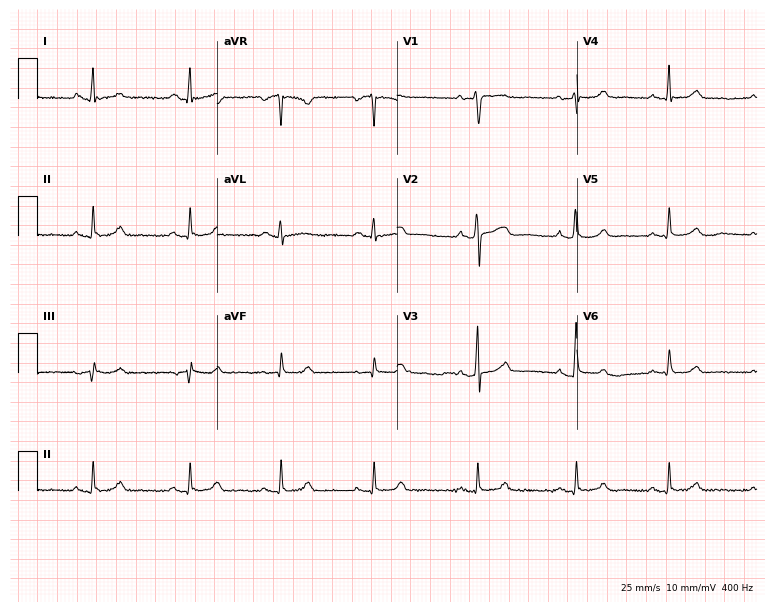
ECG (7.3-second recording at 400 Hz) — a 54-year-old woman. Screened for six findings — first-degree AV block, right bundle branch block, left bundle branch block, sinus bradycardia, atrial fibrillation, sinus tachycardia — none is recorded. Other findings, if any, are not listed.